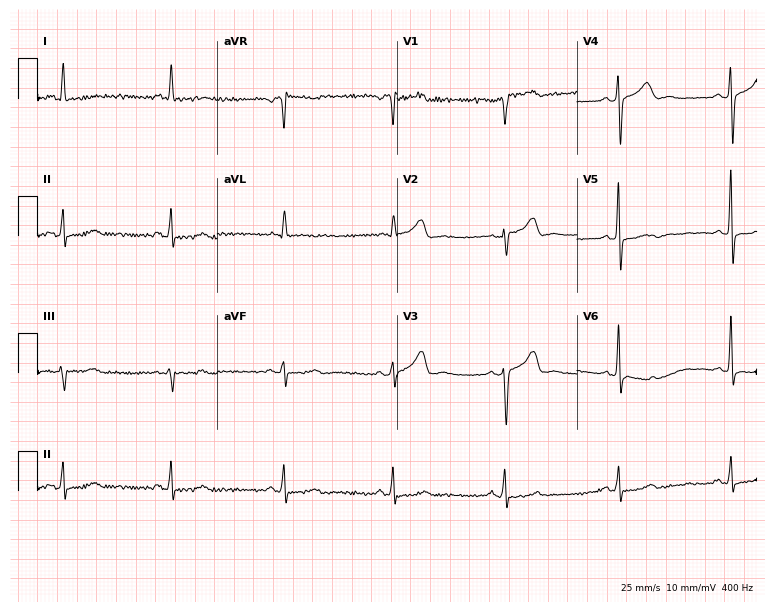
Standard 12-lead ECG recorded from an 81-year-old female (7.3-second recording at 400 Hz). None of these six findings is recorded: first-degree AV block, right bundle branch block, left bundle branch block, sinus bradycardia, atrial fibrillation, sinus tachycardia.